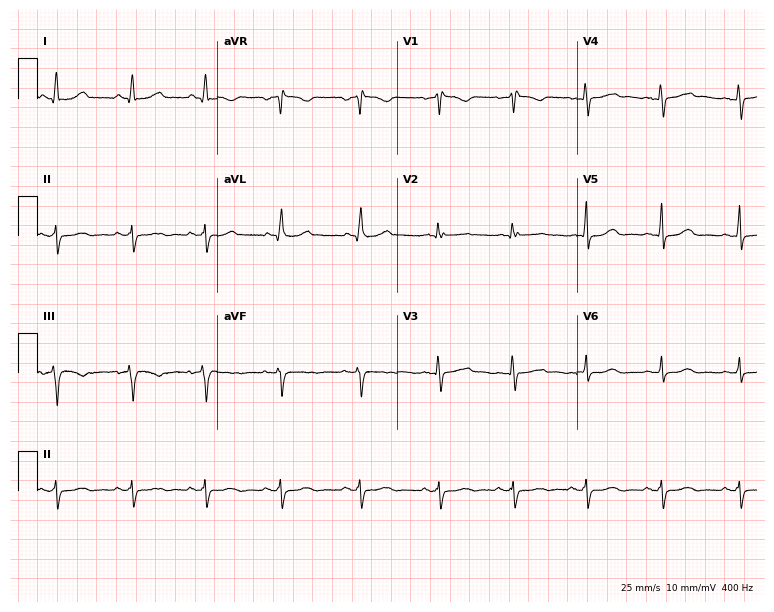
12-lead ECG from a female patient, 42 years old (7.3-second recording at 400 Hz). No first-degree AV block, right bundle branch block (RBBB), left bundle branch block (LBBB), sinus bradycardia, atrial fibrillation (AF) or sinus tachycardia recorded for this tracing.